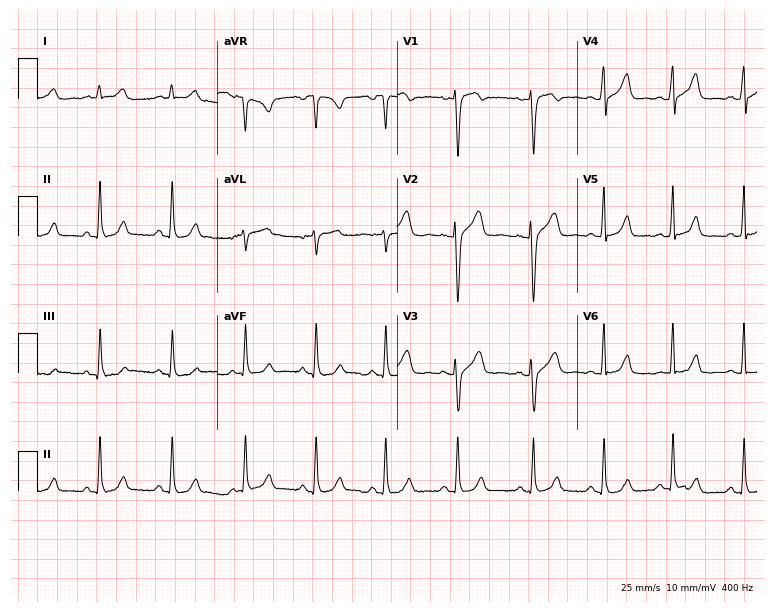
ECG (7.3-second recording at 400 Hz) — a 36-year-old female patient. Labelled as a normal ECG.